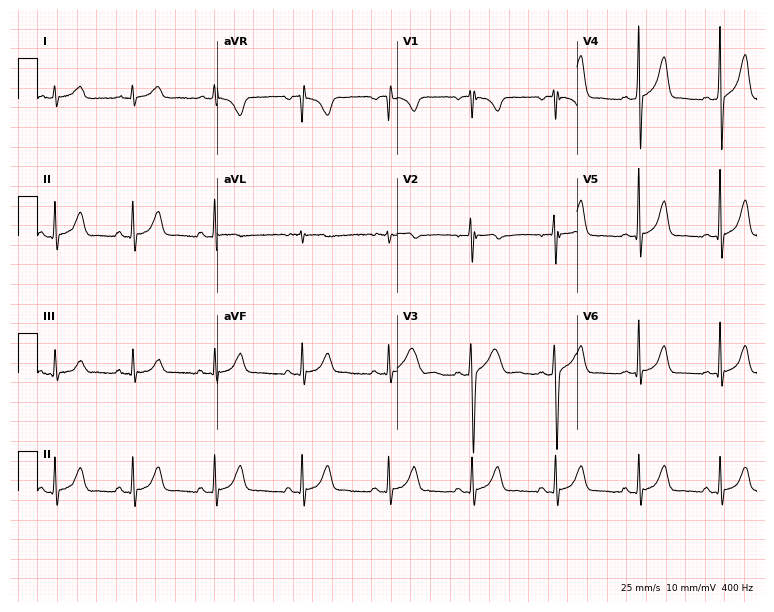
Standard 12-lead ECG recorded from a 21-year-old male patient. Read as a normal ECG.